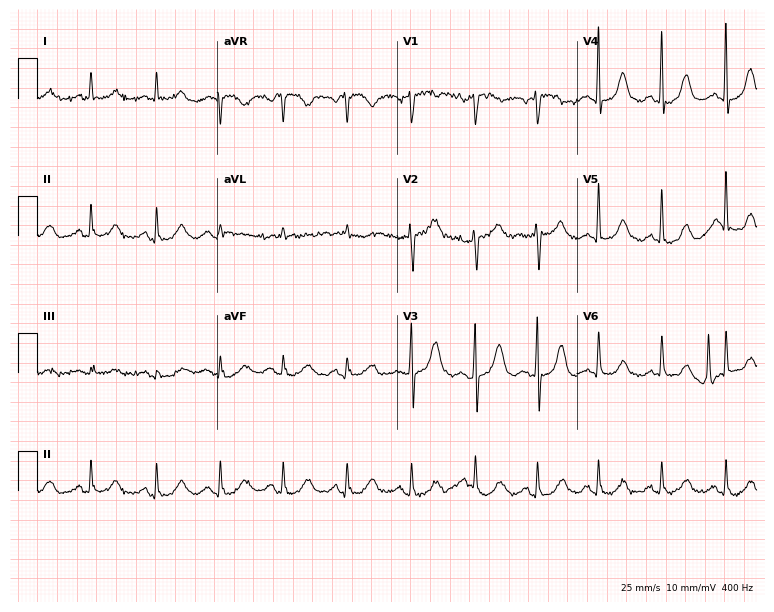
Standard 12-lead ECG recorded from an 85-year-old female (7.3-second recording at 400 Hz). None of these six findings is recorded: first-degree AV block, right bundle branch block, left bundle branch block, sinus bradycardia, atrial fibrillation, sinus tachycardia.